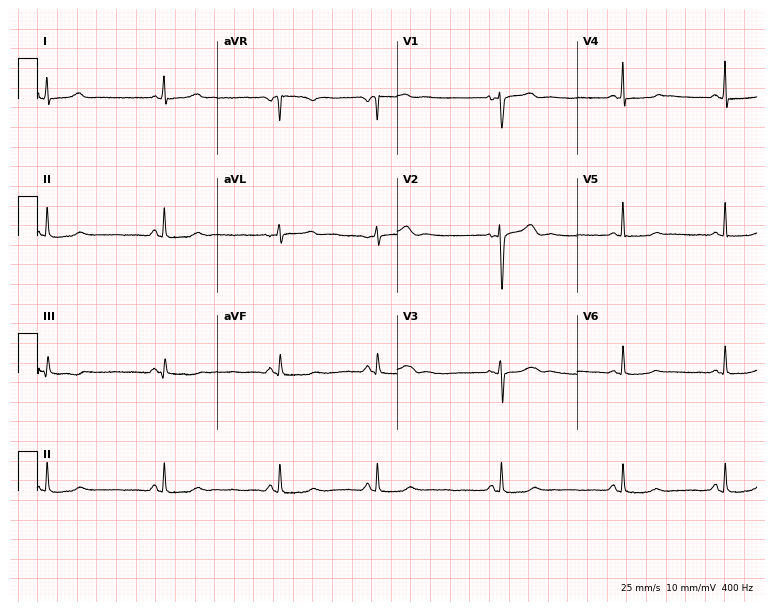
Standard 12-lead ECG recorded from a 34-year-old female (7.3-second recording at 400 Hz). None of these six findings is recorded: first-degree AV block, right bundle branch block, left bundle branch block, sinus bradycardia, atrial fibrillation, sinus tachycardia. Findings outside these six are not listed.